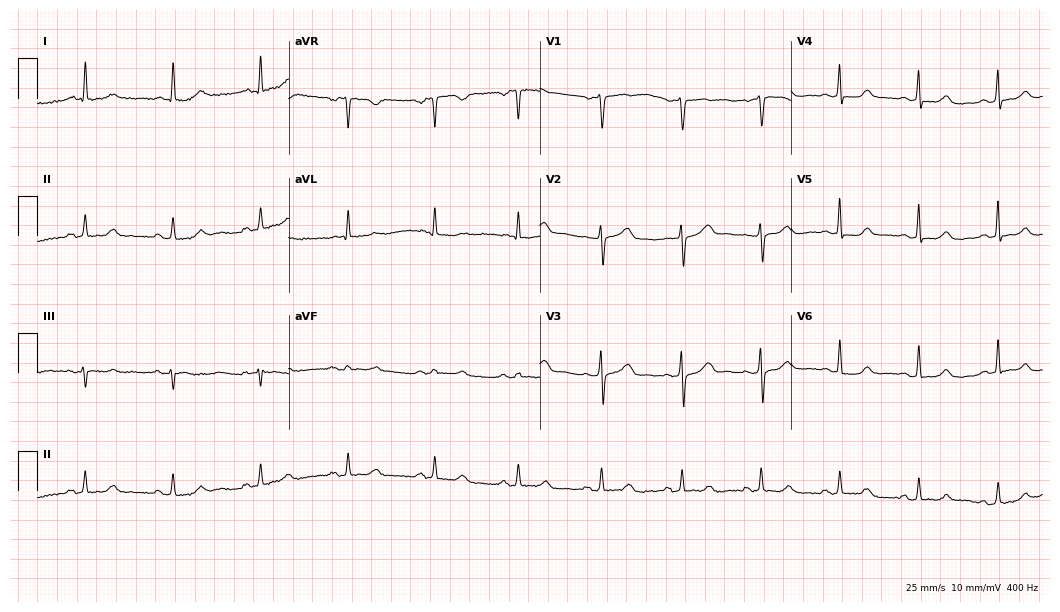
Resting 12-lead electrocardiogram (10.2-second recording at 400 Hz). Patient: a 55-year-old female. None of these six findings is recorded: first-degree AV block, right bundle branch block (RBBB), left bundle branch block (LBBB), sinus bradycardia, atrial fibrillation (AF), sinus tachycardia.